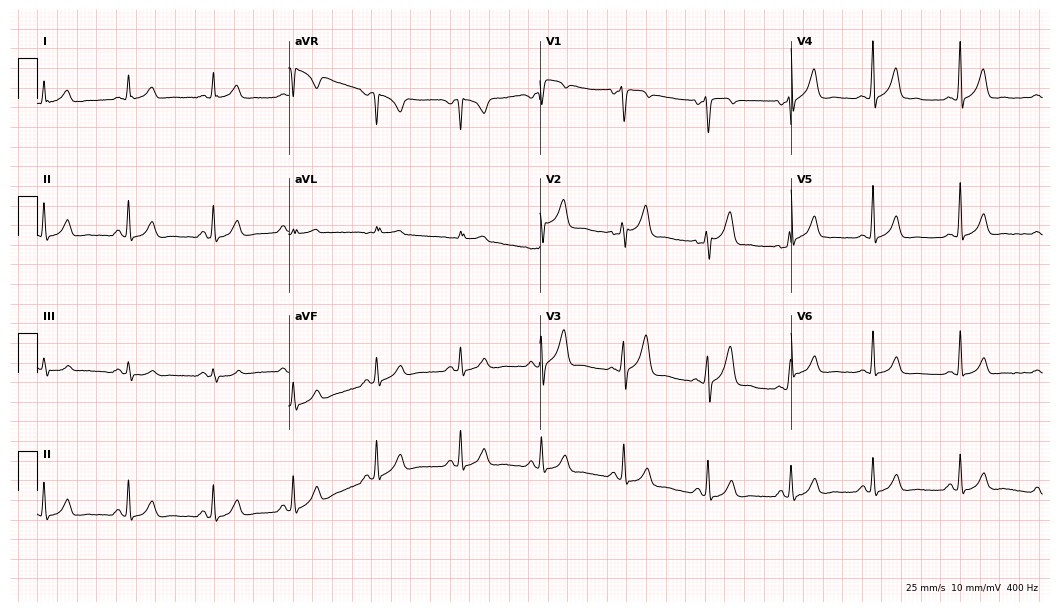
12-lead ECG from a man, 36 years old. Labelled as a normal ECG.